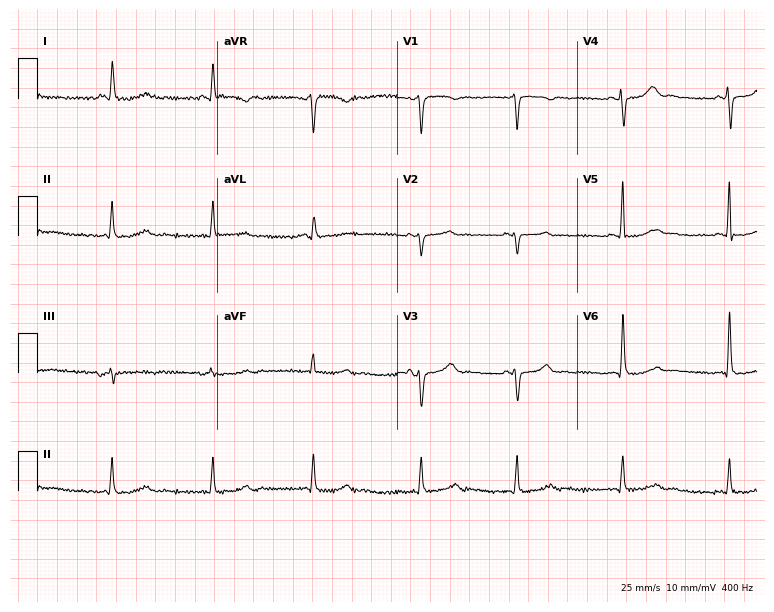
Standard 12-lead ECG recorded from a 51-year-old female patient. None of these six findings is recorded: first-degree AV block, right bundle branch block, left bundle branch block, sinus bradycardia, atrial fibrillation, sinus tachycardia.